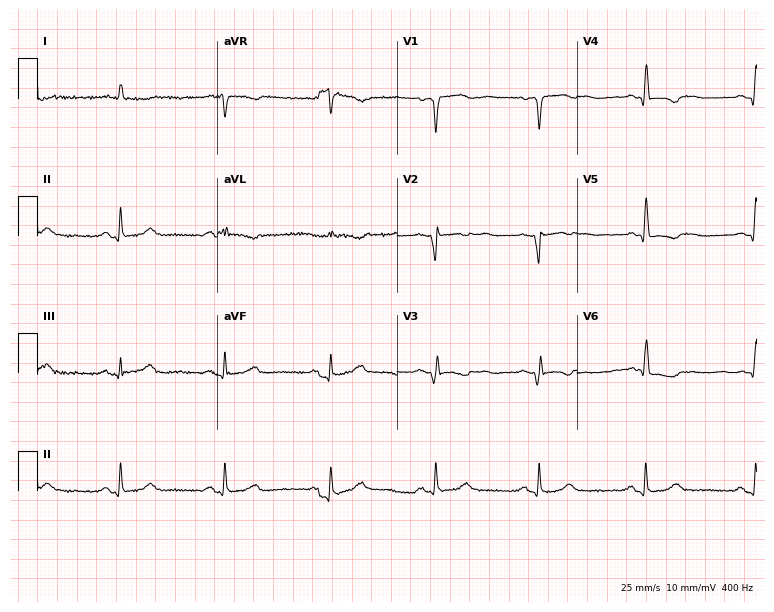
Standard 12-lead ECG recorded from a male patient, 77 years old (7.3-second recording at 400 Hz). None of these six findings is recorded: first-degree AV block, right bundle branch block, left bundle branch block, sinus bradycardia, atrial fibrillation, sinus tachycardia. Only these six findings were labelled.